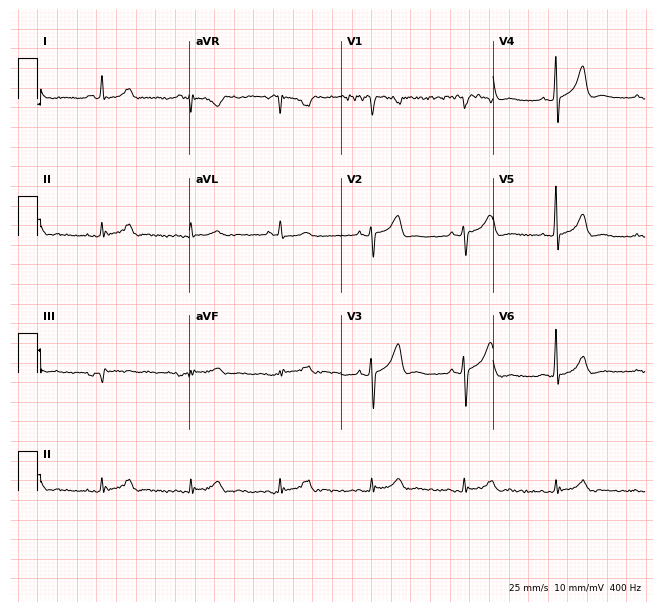
ECG (6.2-second recording at 400 Hz) — a male, 58 years old. Screened for six findings — first-degree AV block, right bundle branch block, left bundle branch block, sinus bradycardia, atrial fibrillation, sinus tachycardia — none is recorded.